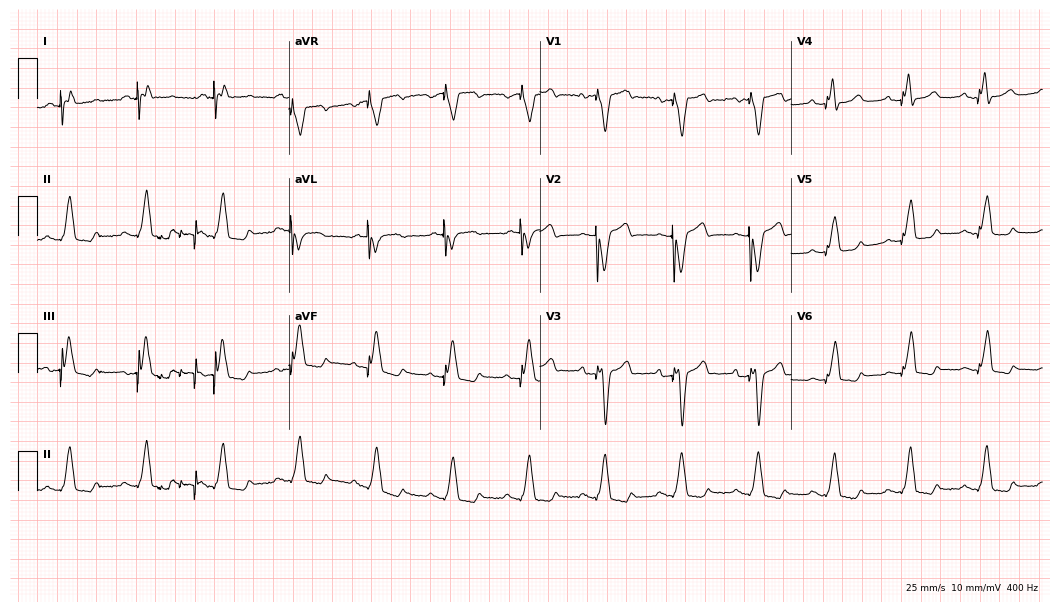
12-lead ECG (10.2-second recording at 400 Hz) from a female patient, 66 years old. Screened for six findings — first-degree AV block, right bundle branch block (RBBB), left bundle branch block (LBBB), sinus bradycardia, atrial fibrillation (AF), sinus tachycardia — none is recorded. Other findings, if any, are not listed.